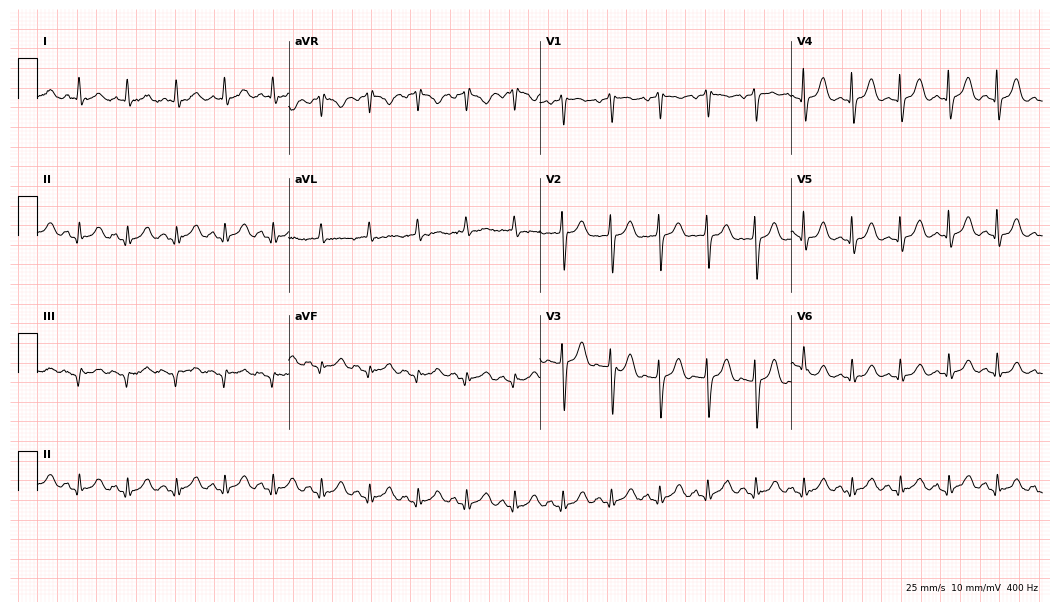
12-lead ECG from a 42-year-old male patient. Shows sinus tachycardia (a sinus rate of 100 beats per minute or more).